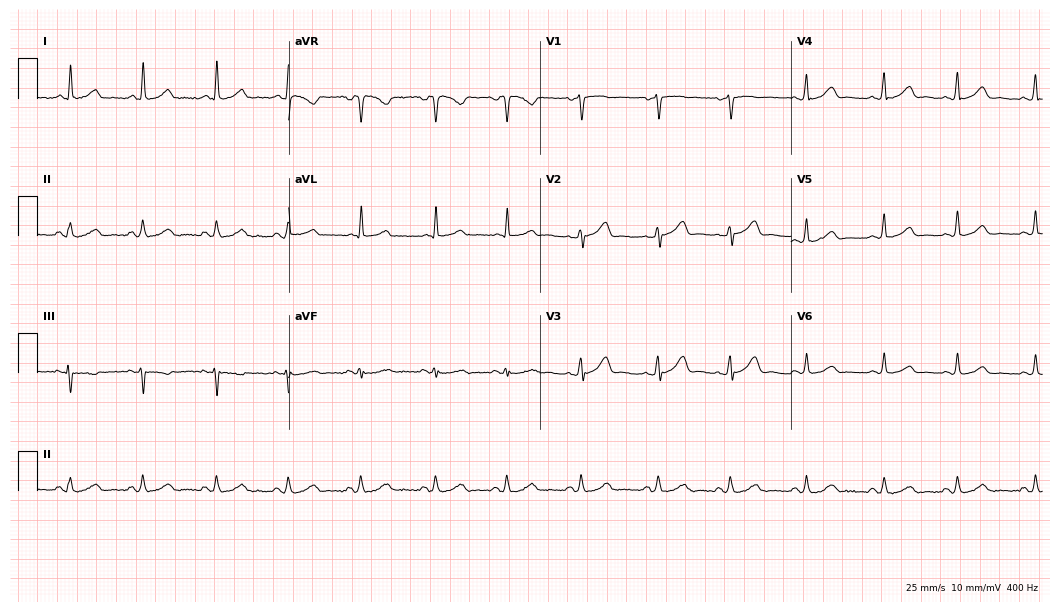
ECG — a 40-year-old female patient. Screened for six findings — first-degree AV block, right bundle branch block, left bundle branch block, sinus bradycardia, atrial fibrillation, sinus tachycardia — none is recorded. Findings outside these six are not listed.